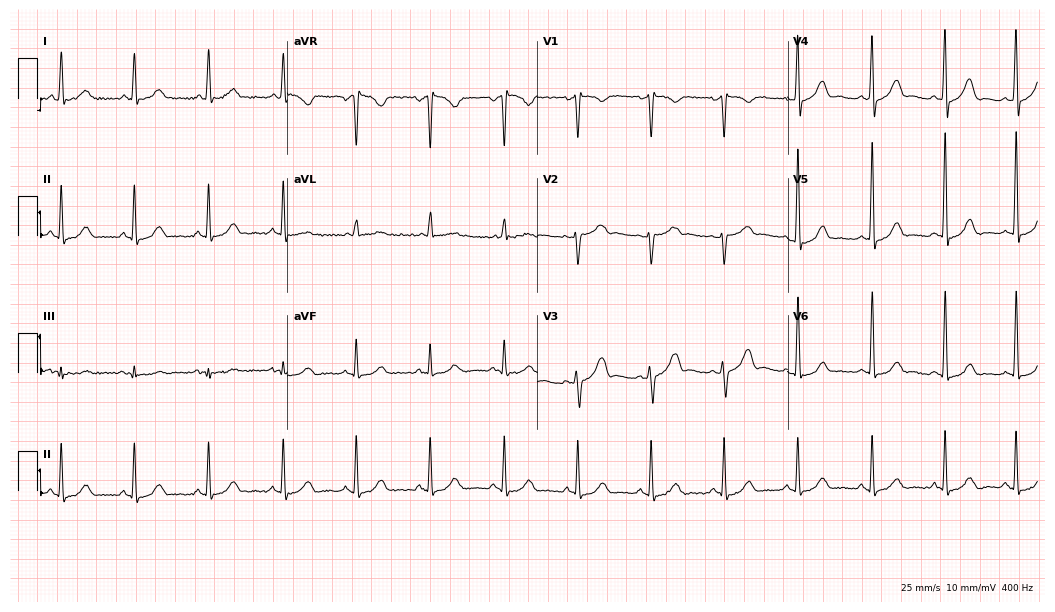
Standard 12-lead ECG recorded from a female, 50 years old. Read as a normal ECG.